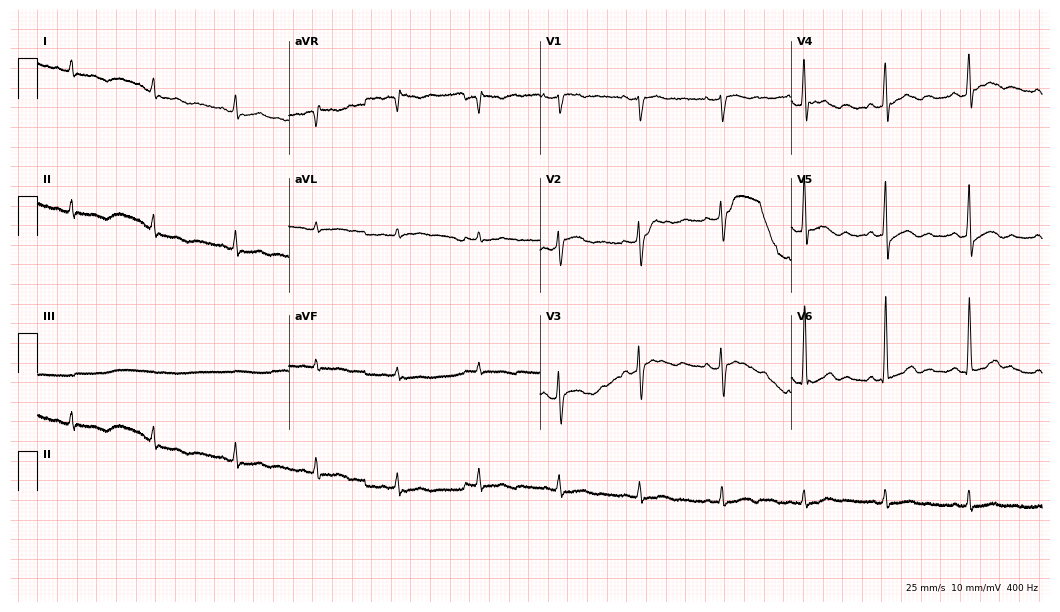
Resting 12-lead electrocardiogram (10.2-second recording at 400 Hz). Patient: a 54-year-old female. None of these six findings is recorded: first-degree AV block, right bundle branch block, left bundle branch block, sinus bradycardia, atrial fibrillation, sinus tachycardia. Only these six findings were labelled.